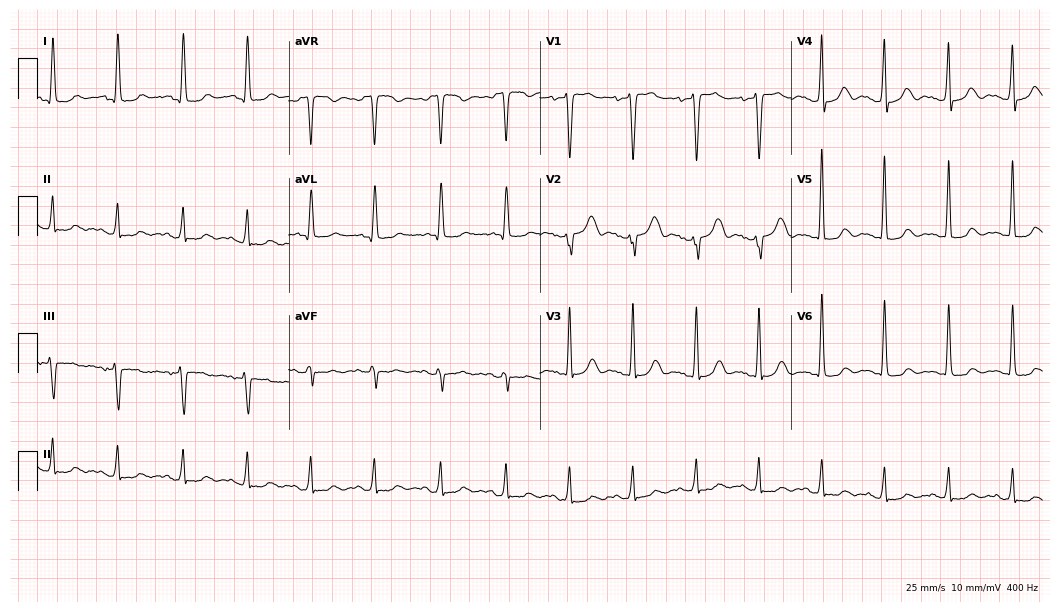
Standard 12-lead ECG recorded from a female patient, 57 years old. None of these six findings is recorded: first-degree AV block, right bundle branch block (RBBB), left bundle branch block (LBBB), sinus bradycardia, atrial fibrillation (AF), sinus tachycardia.